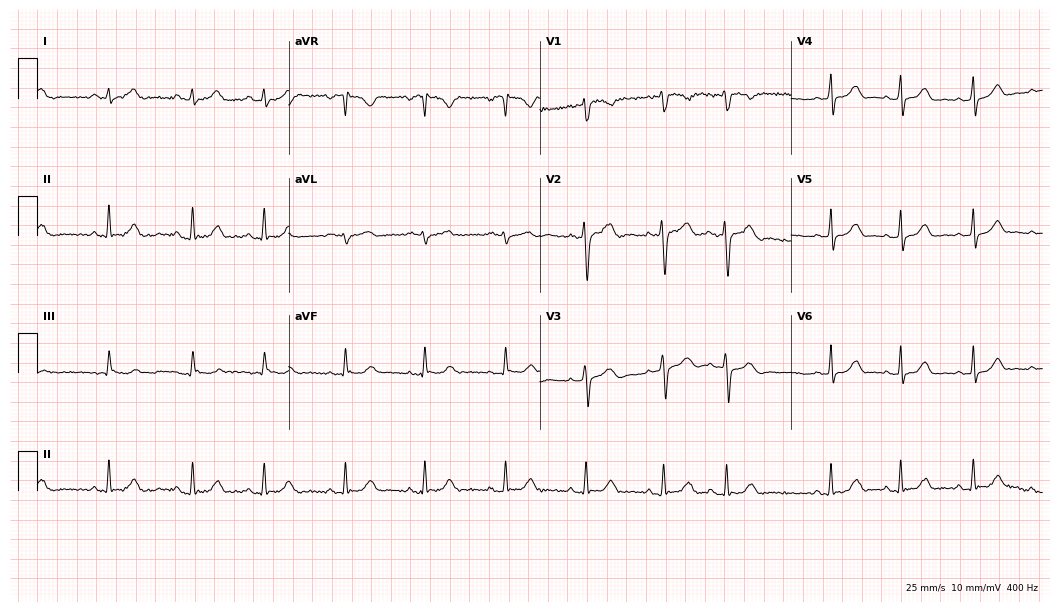
12-lead ECG (10.2-second recording at 400 Hz) from a woman, 28 years old. Labelled as a normal ECG.